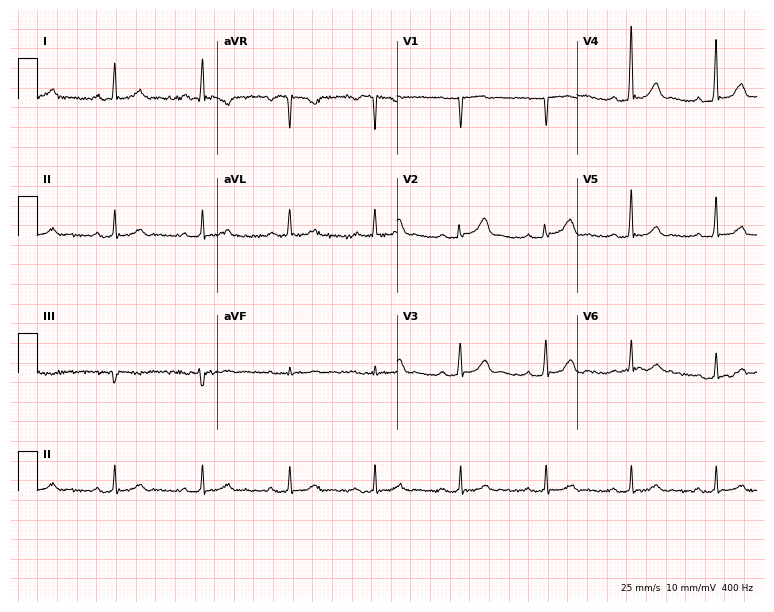
Standard 12-lead ECG recorded from a 62-year-old male. Read as a normal ECG.